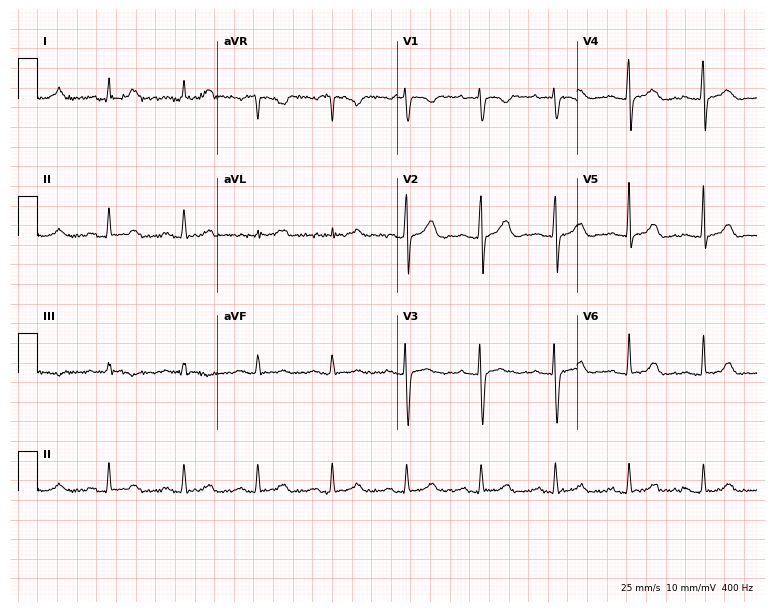
ECG (7.3-second recording at 400 Hz) — a 36-year-old female patient. Labelled as a normal ECG.